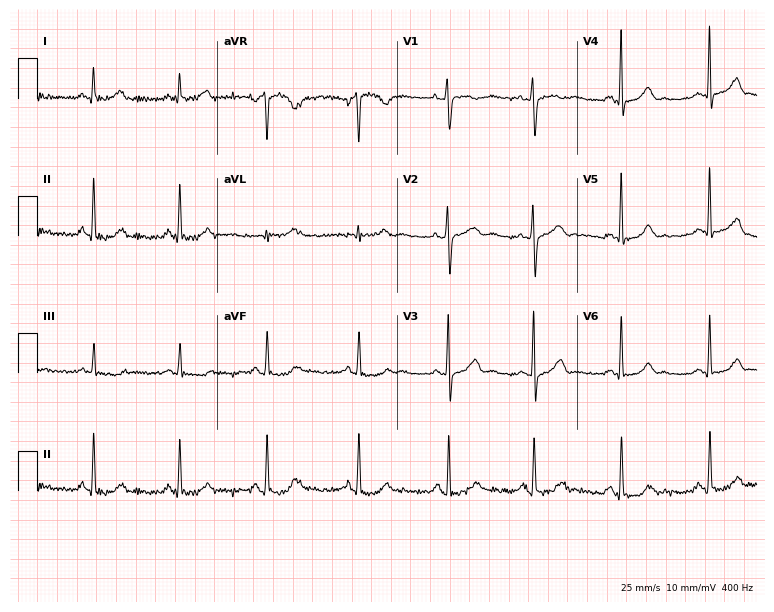
Resting 12-lead electrocardiogram (7.3-second recording at 400 Hz). Patient: a female, 32 years old. None of these six findings is recorded: first-degree AV block, right bundle branch block, left bundle branch block, sinus bradycardia, atrial fibrillation, sinus tachycardia.